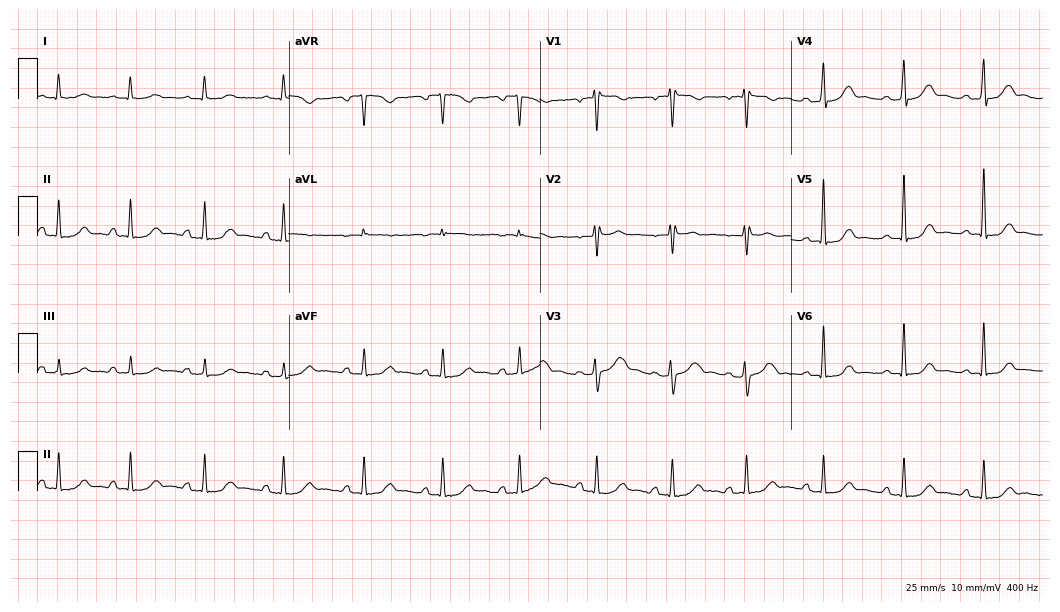
Standard 12-lead ECG recorded from a woman, 35 years old (10.2-second recording at 400 Hz). None of these six findings is recorded: first-degree AV block, right bundle branch block, left bundle branch block, sinus bradycardia, atrial fibrillation, sinus tachycardia.